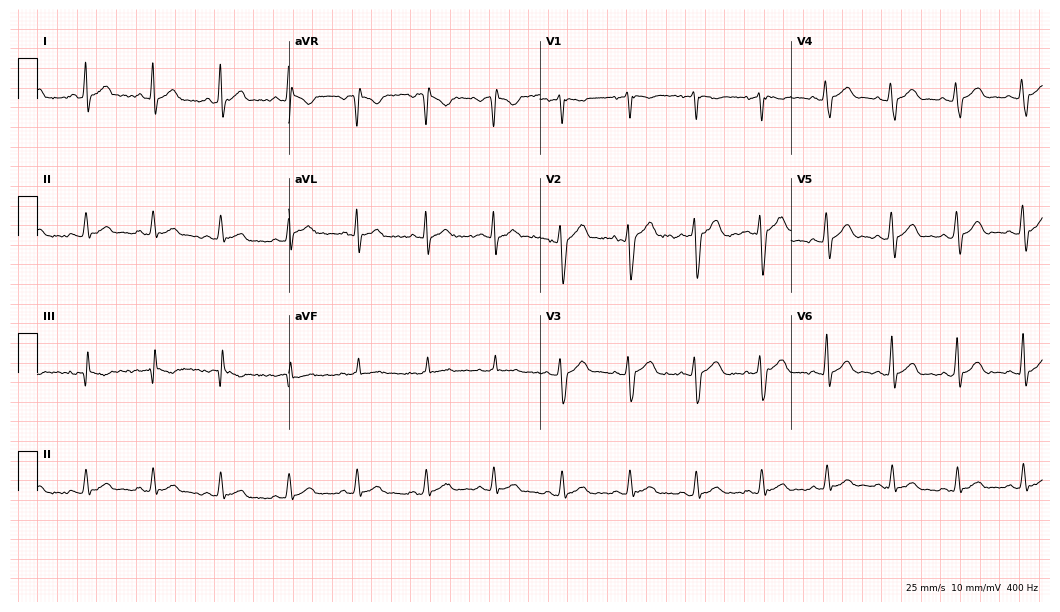
Standard 12-lead ECG recorded from a 33-year-old male. Read as a normal ECG.